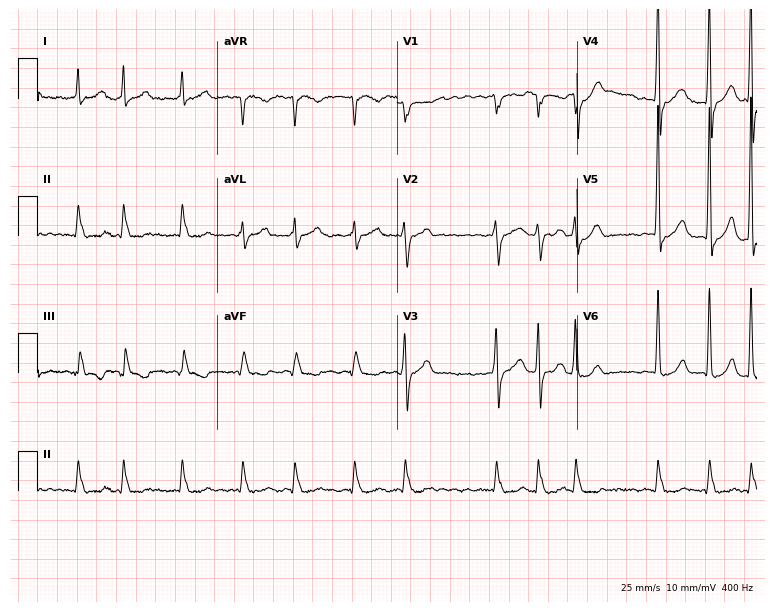
Electrocardiogram, a male patient, 34 years old. Interpretation includes atrial fibrillation (AF).